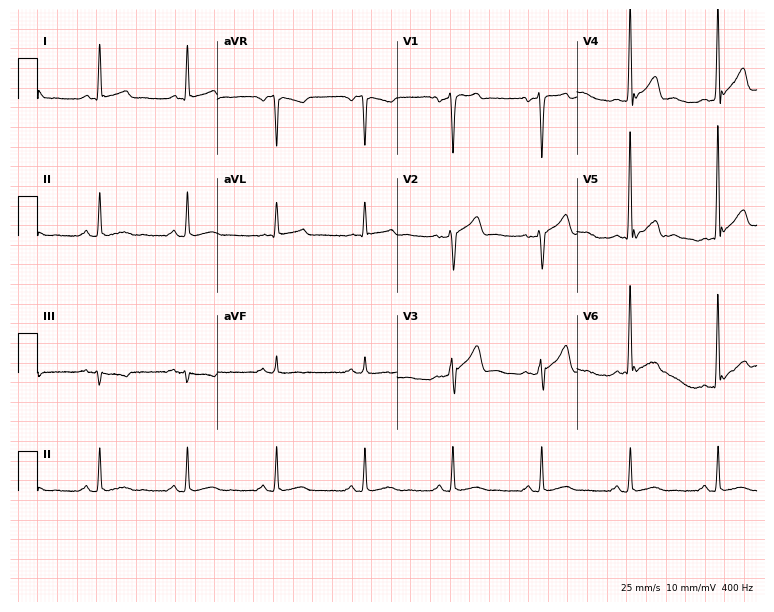
12-lead ECG from a 44-year-old male patient (7.3-second recording at 400 Hz). No first-degree AV block, right bundle branch block, left bundle branch block, sinus bradycardia, atrial fibrillation or sinus tachycardia recorded for this tracing.